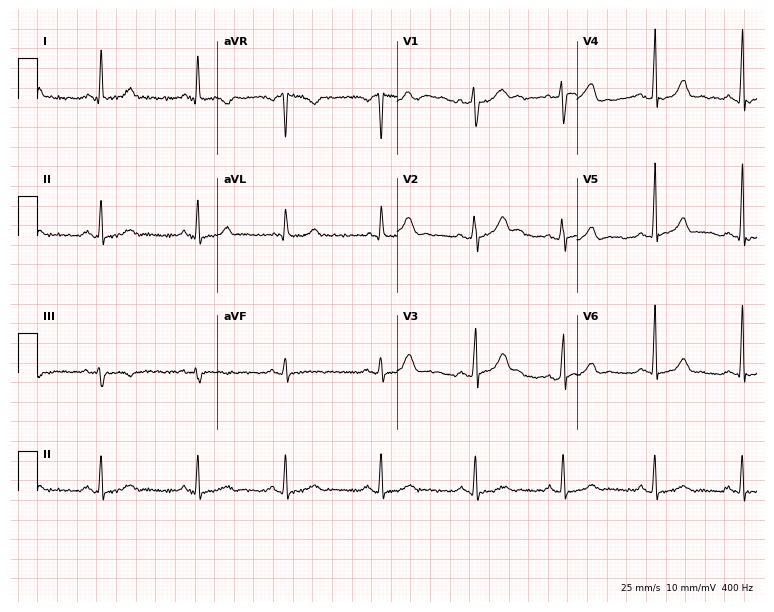
ECG — a 34-year-old female patient. Labelled as a normal ECG.